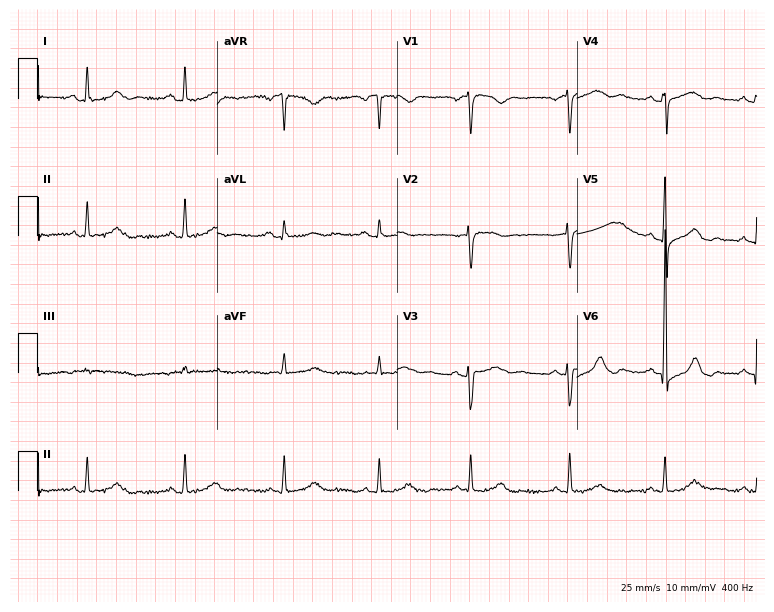
12-lead ECG from a female patient, 63 years old. Screened for six findings — first-degree AV block, right bundle branch block (RBBB), left bundle branch block (LBBB), sinus bradycardia, atrial fibrillation (AF), sinus tachycardia — none is recorded. Findings outside these six are not listed.